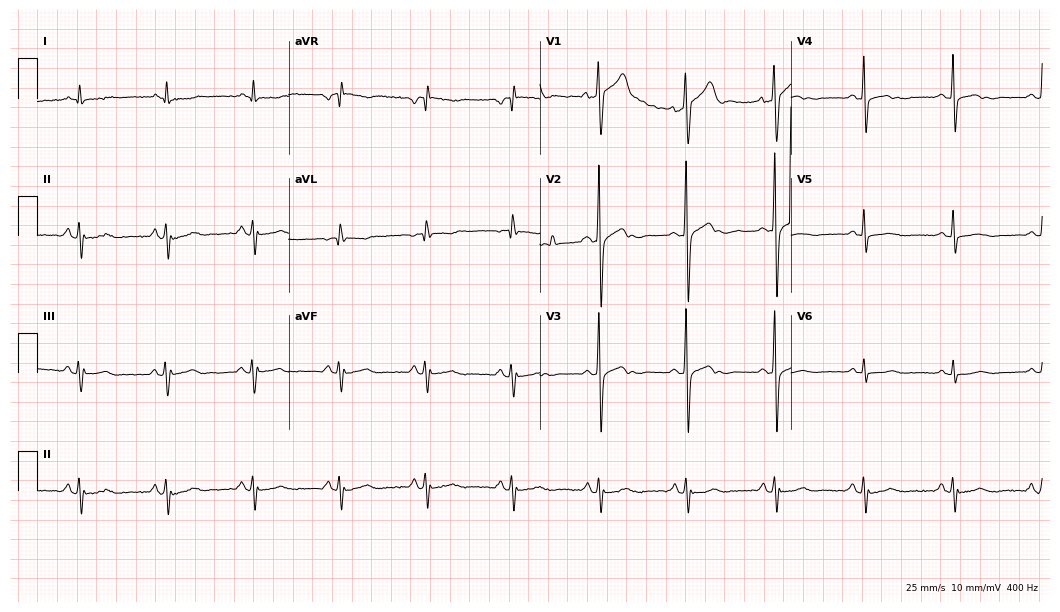
Electrocardiogram (10.2-second recording at 400 Hz), a man, 71 years old. Of the six screened findings (first-degree AV block, right bundle branch block, left bundle branch block, sinus bradycardia, atrial fibrillation, sinus tachycardia), none is recorded.